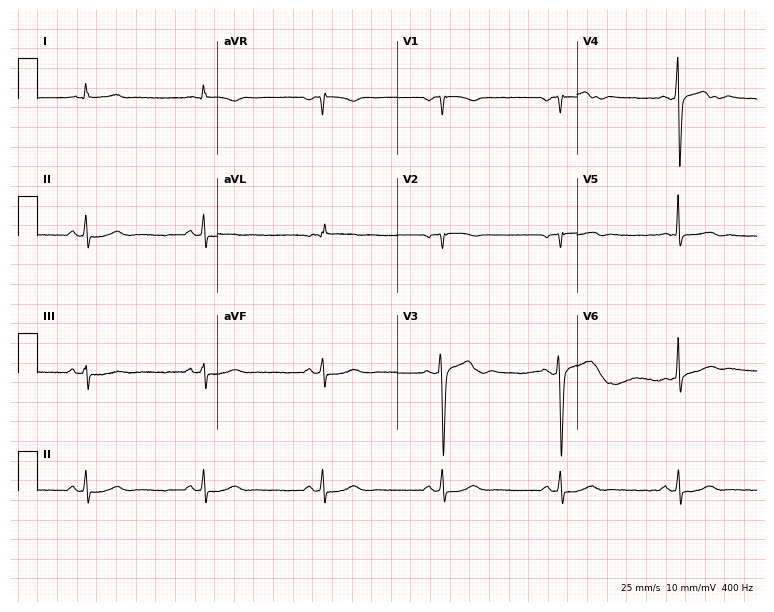
12-lead ECG from a 63-year-old male (7.3-second recording at 400 Hz). Shows sinus bradycardia (a sinus rate of 50 beats per minute or less).